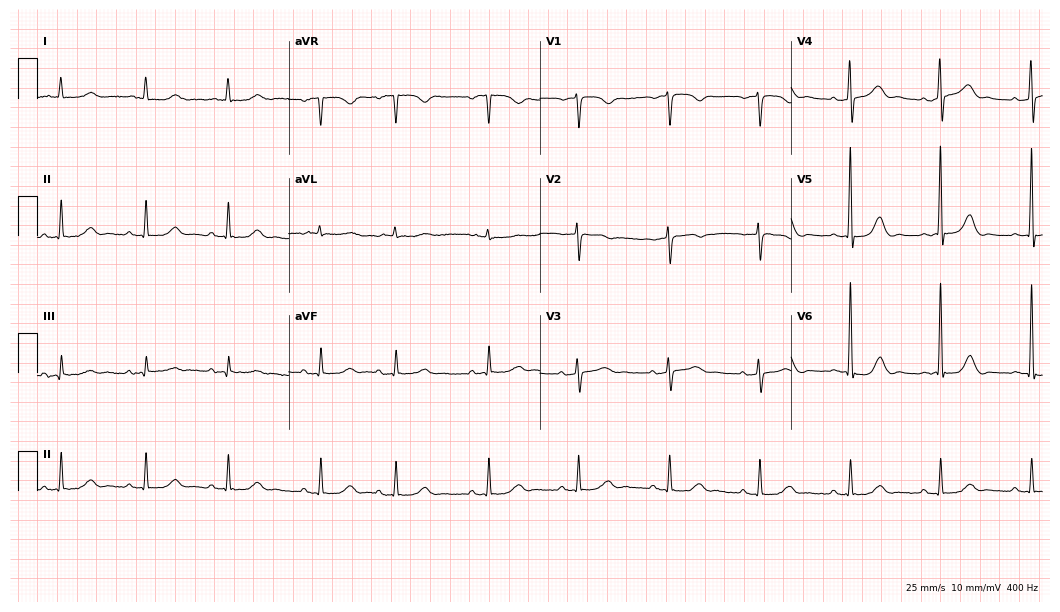
Electrocardiogram (10.2-second recording at 400 Hz), a 79-year-old female patient. Of the six screened findings (first-degree AV block, right bundle branch block (RBBB), left bundle branch block (LBBB), sinus bradycardia, atrial fibrillation (AF), sinus tachycardia), none is recorded.